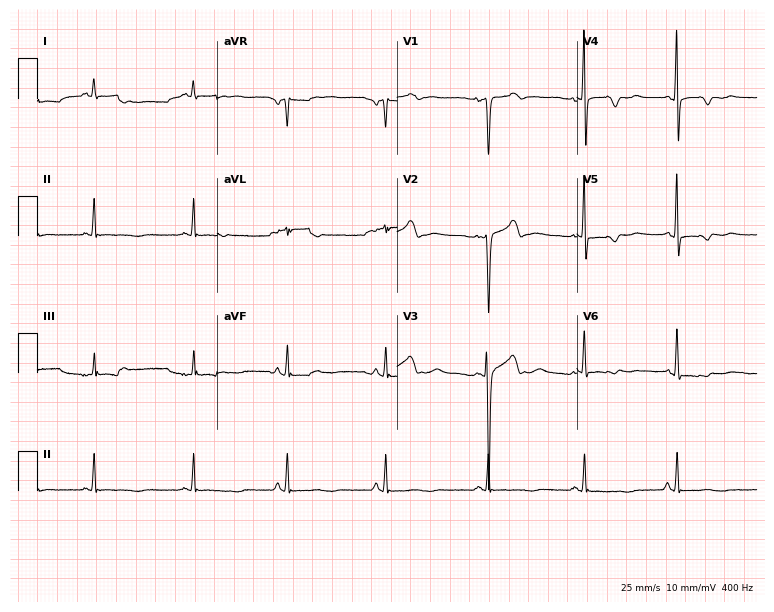
ECG (7.3-second recording at 400 Hz) — a 44-year-old woman. Screened for six findings — first-degree AV block, right bundle branch block (RBBB), left bundle branch block (LBBB), sinus bradycardia, atrial fibrillation (AF), sinus tachycardia — none is recorded.